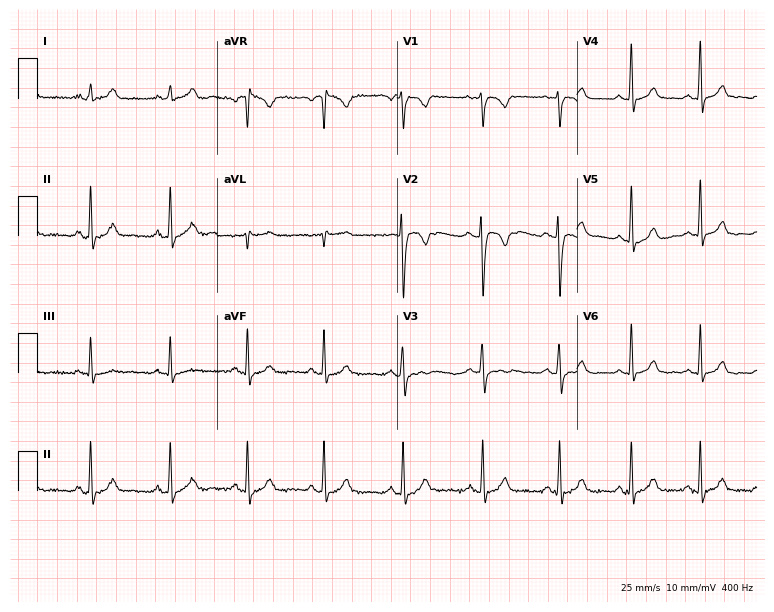
12-lead ECG from a female patient, 28 years old (7.3-second recording at 400 Hz). No first-degree AV block, right bundle branch block, left bundle branch block, sinus bradycardia, atrial fibrillation or sinus tachycardia recorded for this tracing. Only these six findings were labelled.